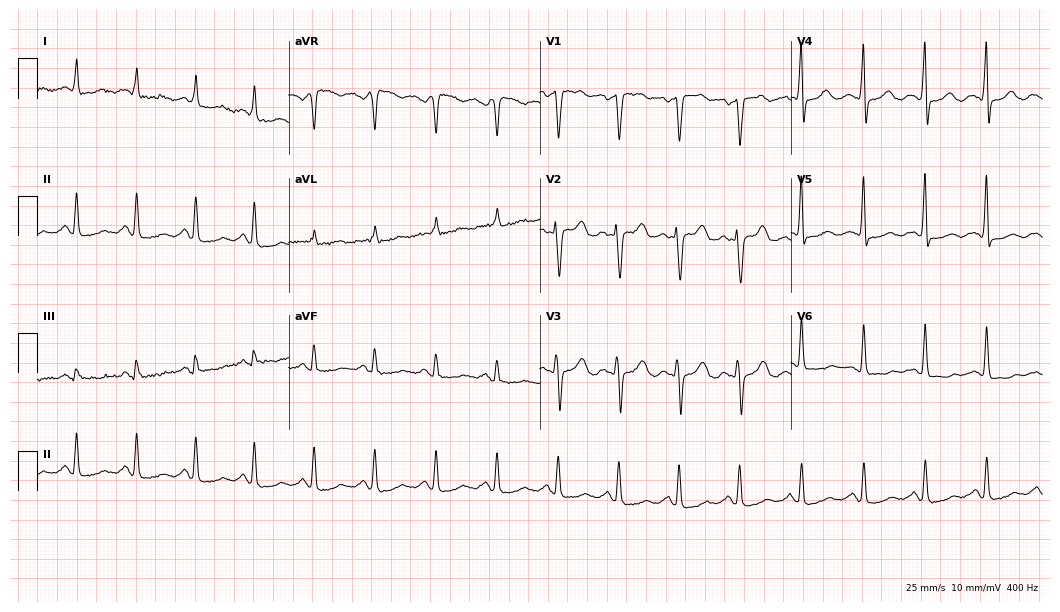
Electrocardiogram (10.2-second recording at 400 Hz), a 43-year-old woman. Of the six screened findings (first-degree AV block, right bundle branch block (RBBB), left bundle branch block (LBBB), sinus bradycardia, atrial fibrillation (AF), sinus tachycardia), none is recorded.